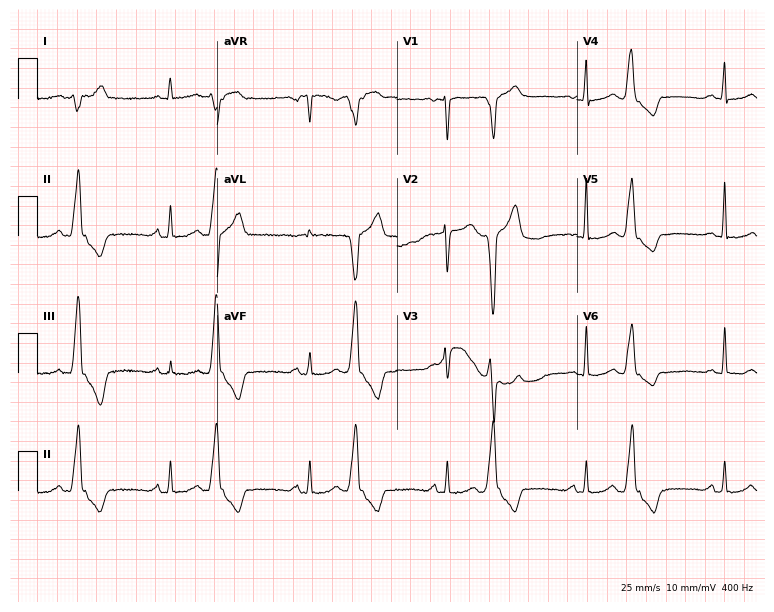
12-lead ECG from a 53-year-old female patient. Screened for six findings — first-degree AV block, right bundle branch block (RBBB), left bundle branch block (LBBB), sinus bradycardia, atrial fibrillation (AF), sinus tachycardia — none is recorded.